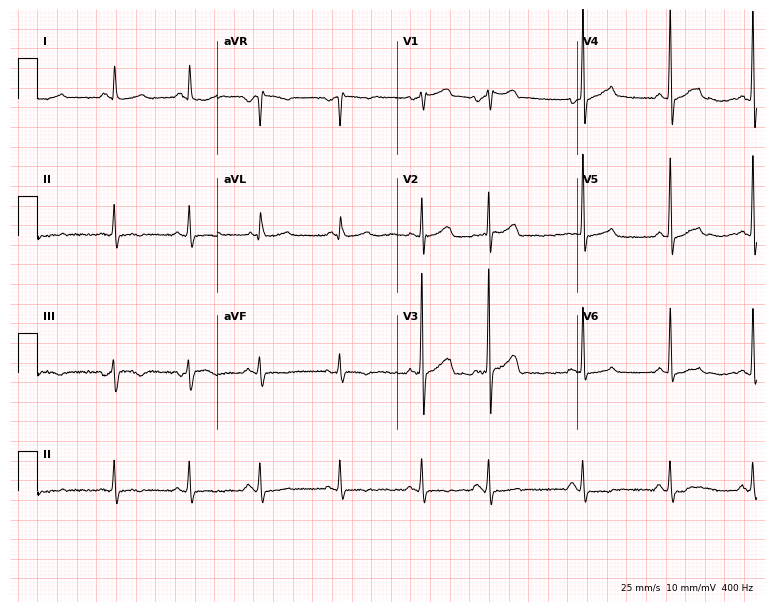
12-lead ECG from a 61-year-old man (7.3-second recording at 400 Hz). Recorded interpretation: within normal limits.